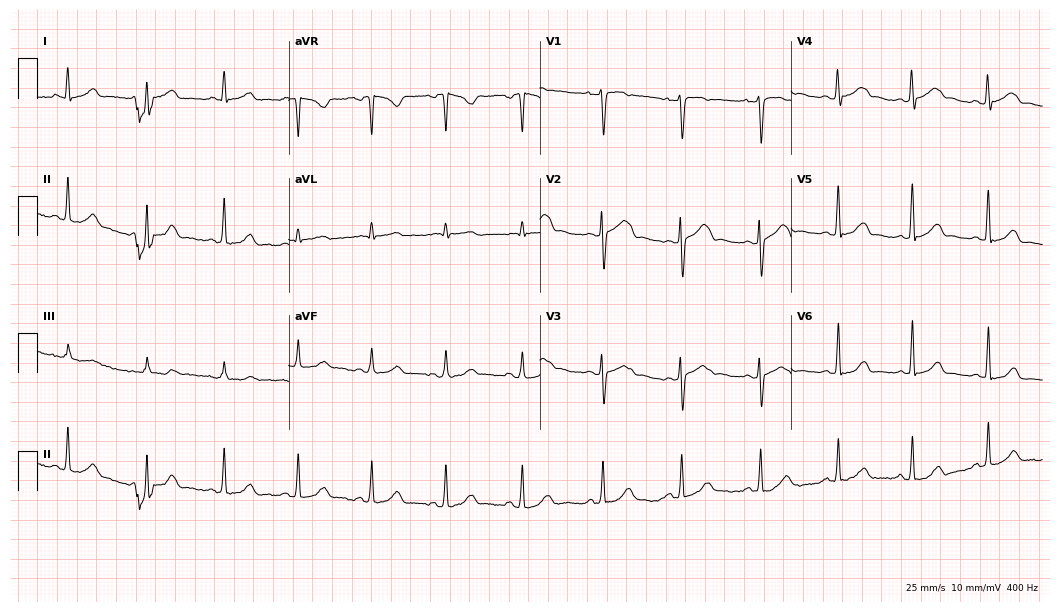
12-lead ECG from a 29-year-old female patient (10.2-second recording at 400 Hz). Recorded interpretation: within normal limits.